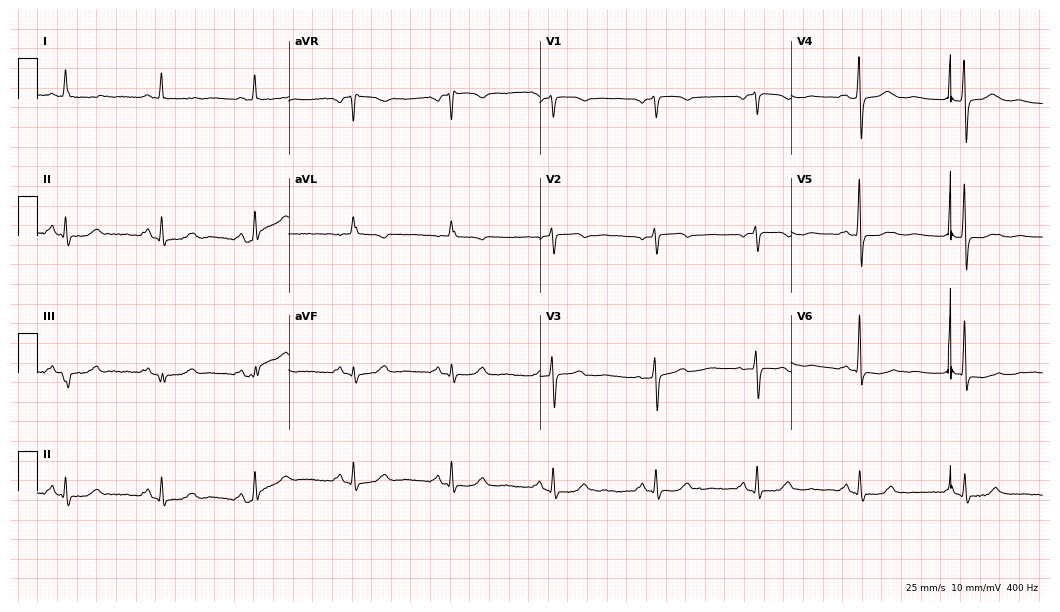
Resting 12-lead electrocardiogram (10.2-second recording at 400 Hz). Patient: a woman, 61 years old. None of these six findings is recorded: first-degree AV block, right bundle branch block, left bundle branch block, sinus bradycardia, atrial fibrillation, sinus tachycardia. Only these six findings were labelled.